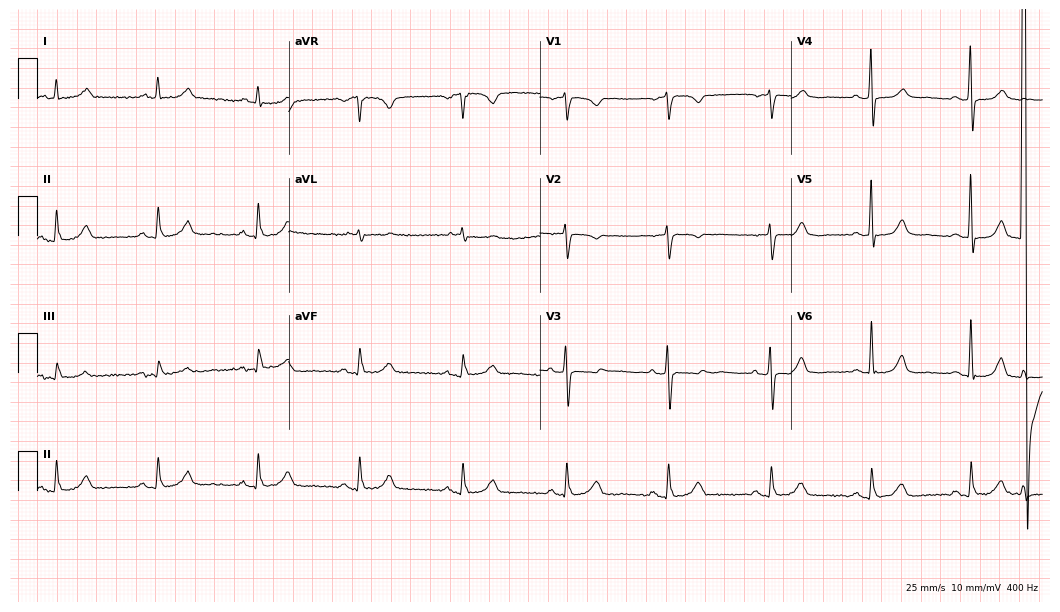
12-lead ECG from a female patient, 61 years old (10.2-second recording at 400 Hz). Recorded interpretation: within normal limits.